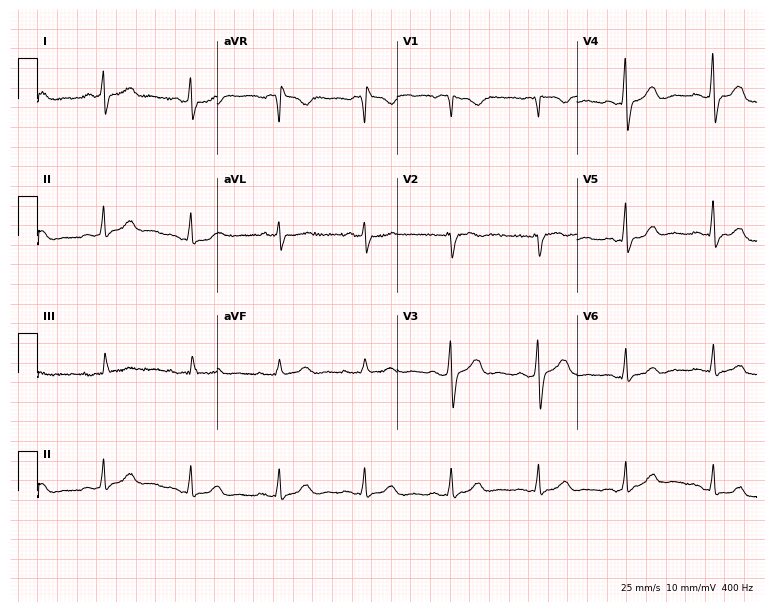
ECG — a woman, 73 years old. Screened for six findings — first-degree AV block, right bundle branch block (RBBB), left bundle branch block (LBBB), sinus bradycardia, atrial fibrillation (AF), sinus tachycardia — none is recorded. Other findings, if any, are not listed.